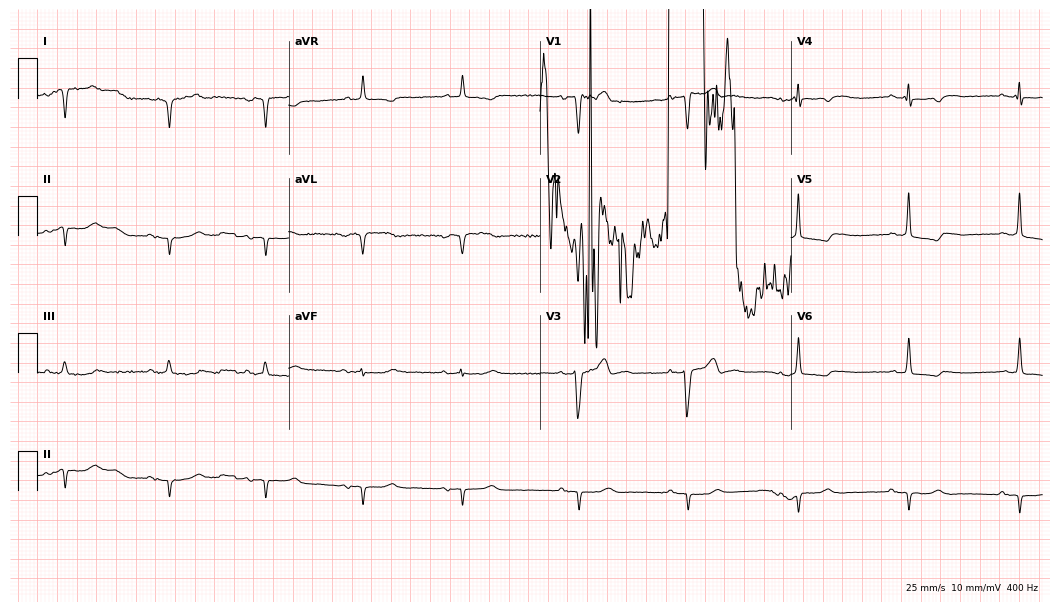
Resting 12-lead electrocardiogram (10.2-second recording at 400 Hz). Patient: an 86-year-old man. None of these six findings is recorded: first-degree AV block, right bundle branch block, left bundle branch block, sinus bradycardia, atrial fibrillation, sinus tachycardia.